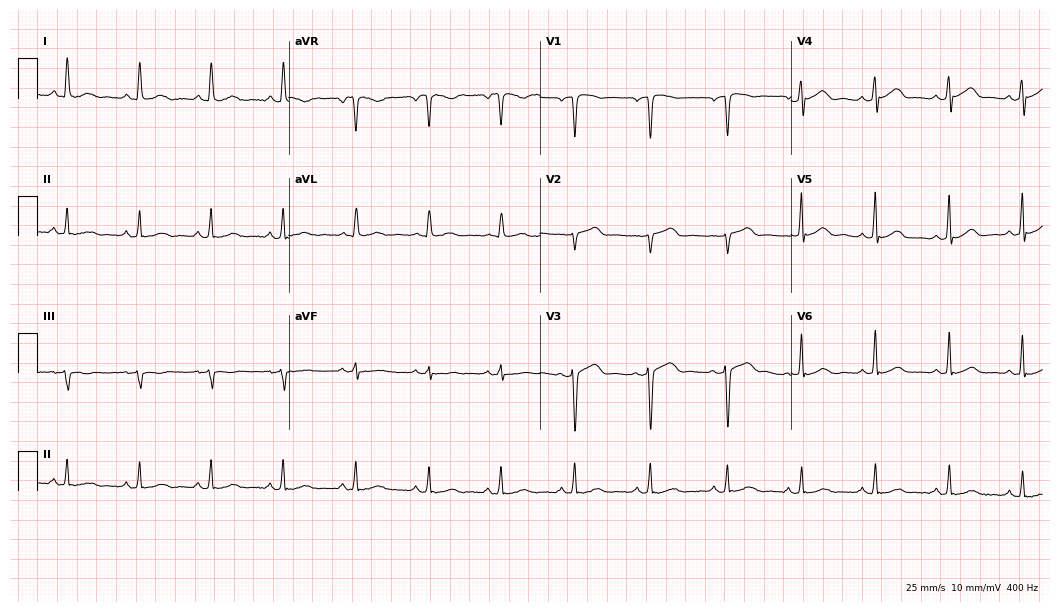
12-lead ECG from a 52-year-old female patient. Recorded interpretation: within normal limits.